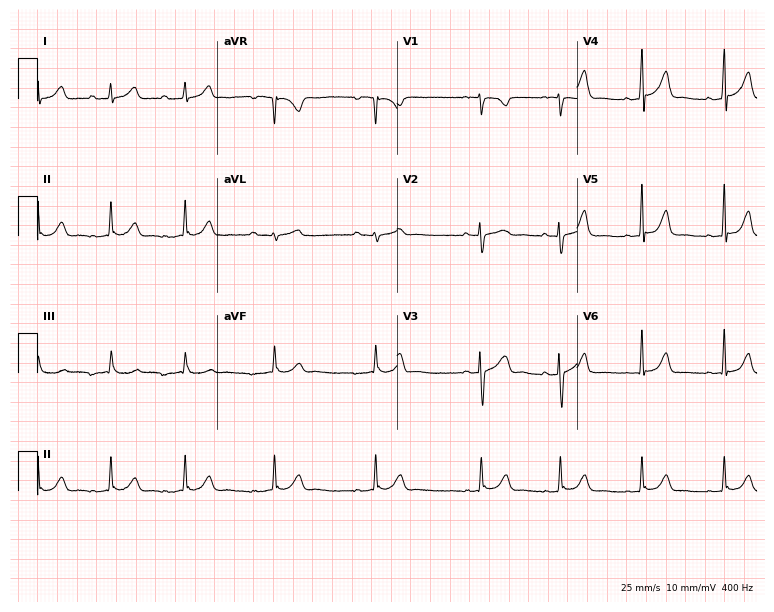
Resting 12-lead electrocardiogram (7.3-second recording at 400 Hz). Patient: a female, 19 years old. Read as a normal ECG.